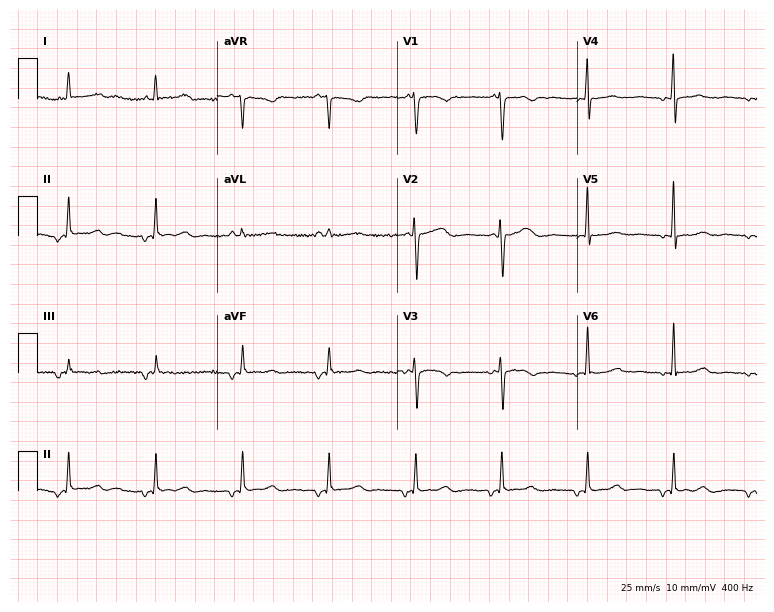
12-lead ECG (7.3-second recording at 400 Hz) from a woman, 50 years old. Screened for six findings — first-degree AV block, right bundle branch block (RBBB), left bundle branch block (LBBB), sinus bradycardia, atrial fibrillation (AF), sinus tachycardia — none is recorded. Only these six findings were labelled.